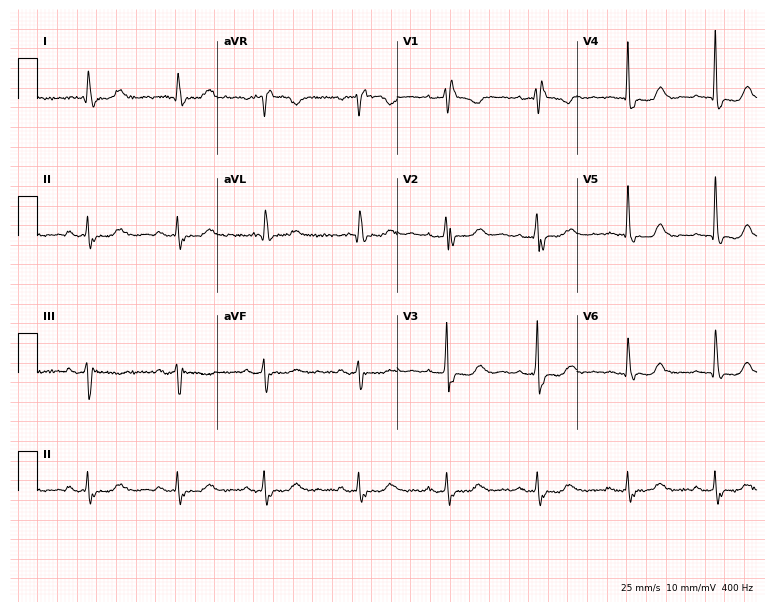
Electrocardiogram, a 70-year-old female. Interpretation includes right bundle branch block (RBBB).